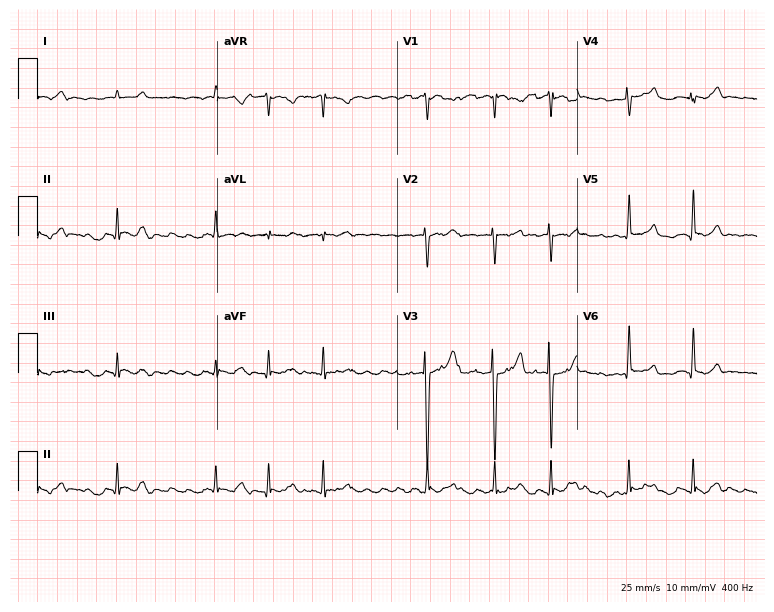
Electrocardiogram, a woman, 42 years old. Interpretation includes atrial fibrillation.